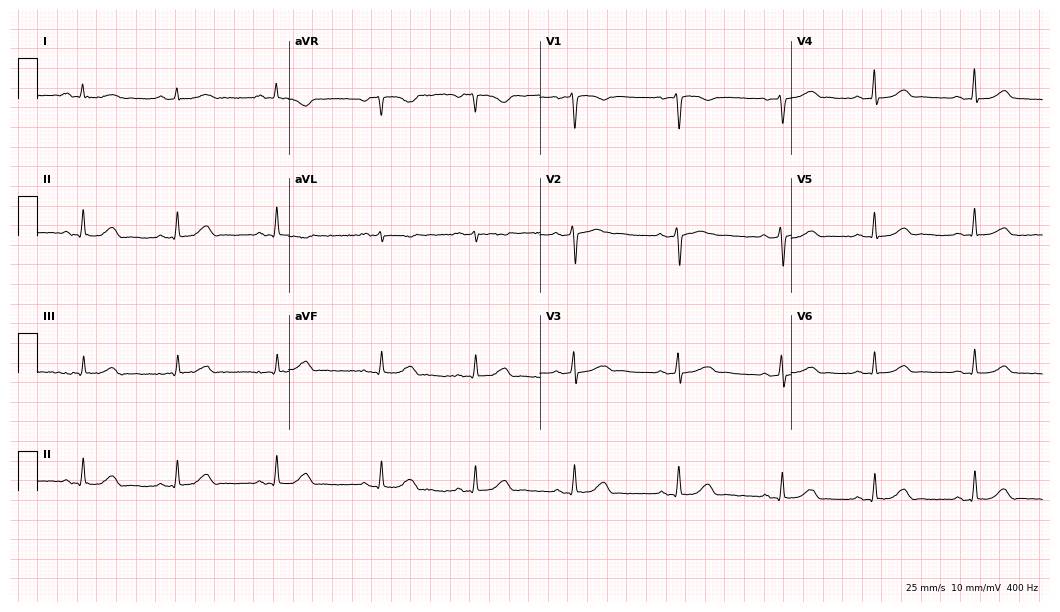
Electrocardiogram, a 46-year-old woman. Of the six screened findings (first-degree AV block, right bundle branch block (RBBB), left bundle branch block (LBBB), sinus bradycardia, atrial fibrillation (AF), sinus tachycardia), none is recorded.